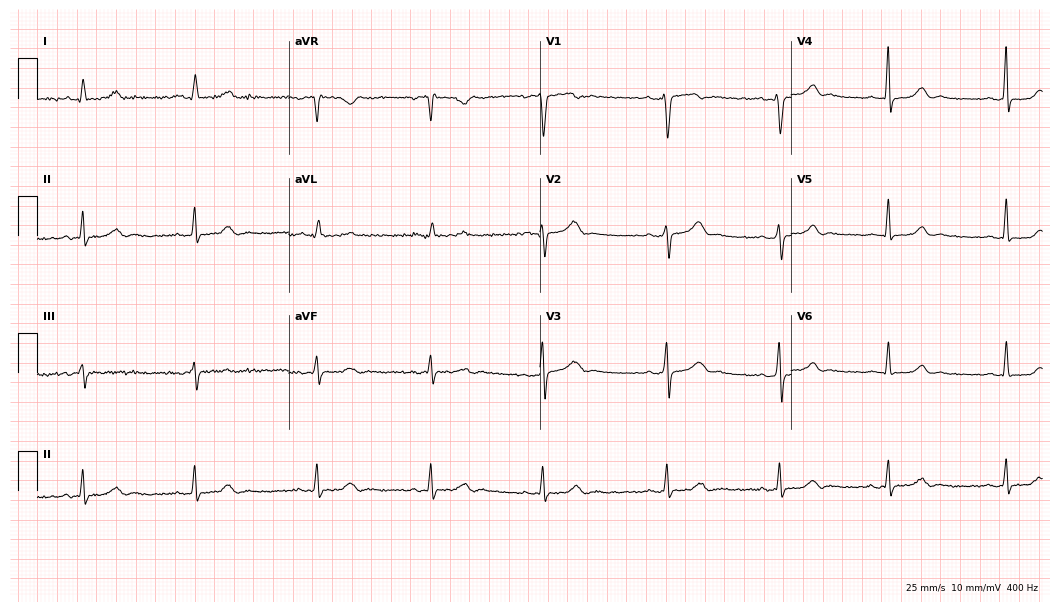
12-lead ECG from a woman, 47 years old (10.2-second recording at 400 Hz). No first-degree AV block, right bundle branch block (RBBB), left bundle branch block (LBBB), sinus bradycardia, atrial fibrillation (AF) or sinus tachycardia recorded for this tracing. Only these six findings were labelled.